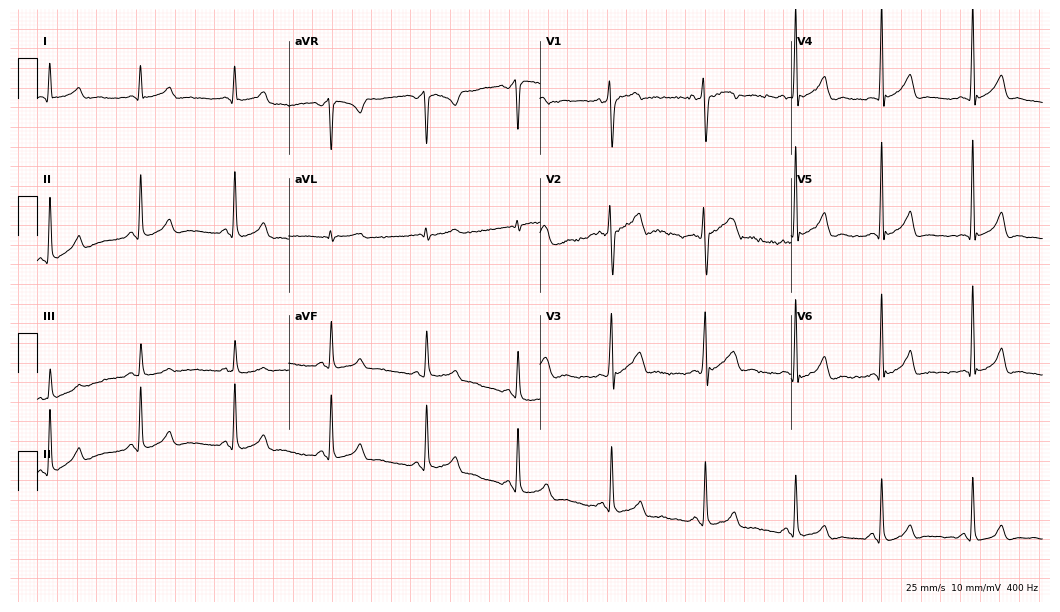
12-lead ECG from a man, 25 years old (10.2-second recording at 400 Hz). Recorded interpretation: within normal limits.